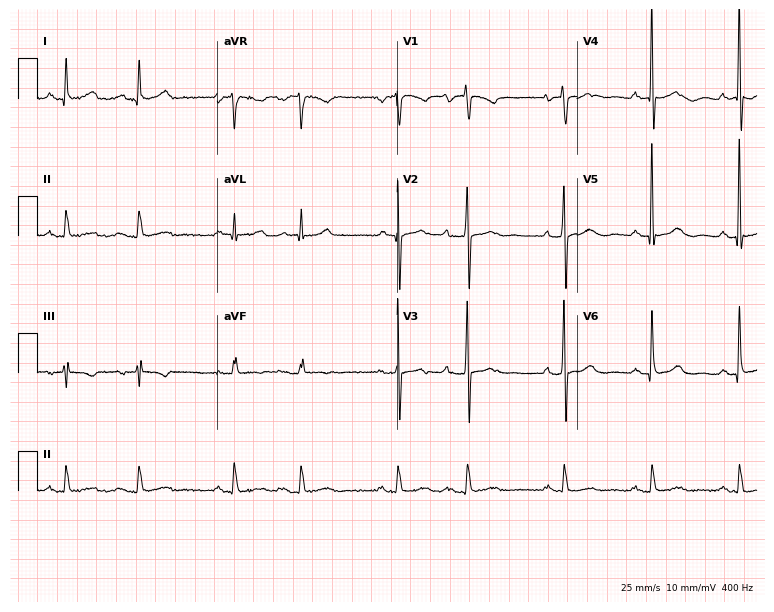
Electrocardiogram (7.3-second recording at 400 Hz), a 78-year-old man. Of the six screened findings (first-degree AV block, right bundle branch block, left bundle branch block, sinus bradycardia, atrial fibrillation, sinus tachycardia), none is recorded.